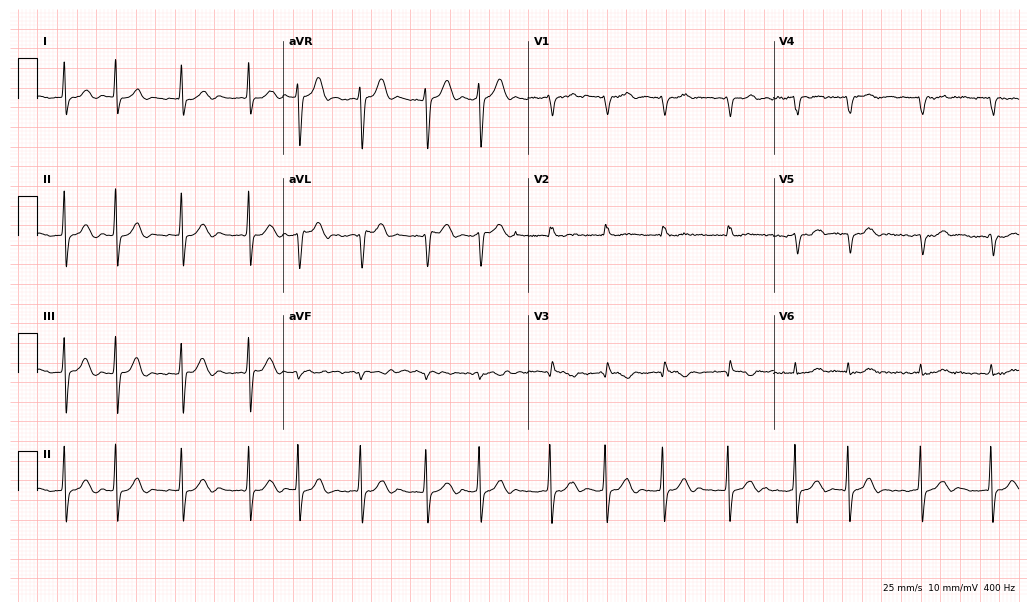
12-lead ECG from a 65-year-old man. Shows atrial fibrillation.